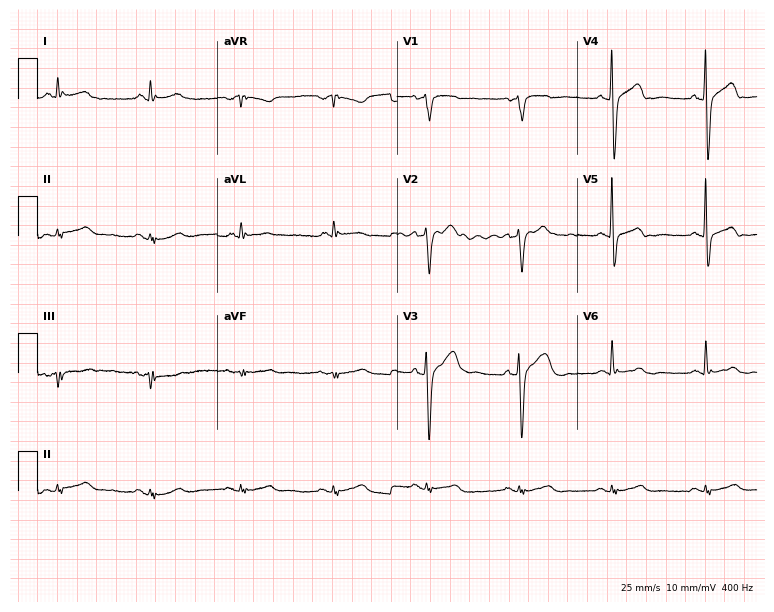
Electrocardiogram, a 65-year-old male patient. Of the six screened findings (first-degree AV block, right bundle branch block, left bundle branch block, sinus bradycardia, atrial fibrillation, sinus tachycardia), none is recorded.